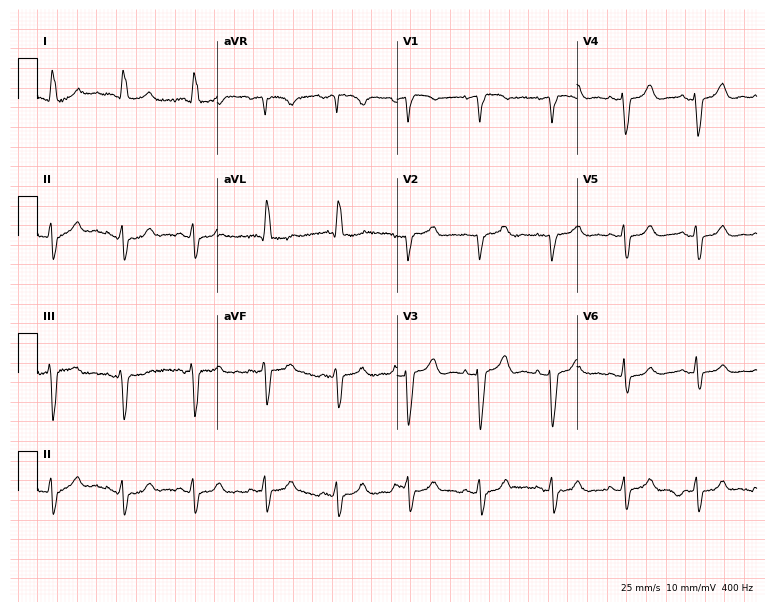
12-lead ECG from a female, 82 years old (7.3-second recording at 400 Hz). No first-degree AV block, right bundle branch block (RBBB), left bundle branch block (LBBB), sinus bradycardia, atrial fibrillation (AF) or sinus tachycardia recorded for this tracing. Only these six findings were labelled.